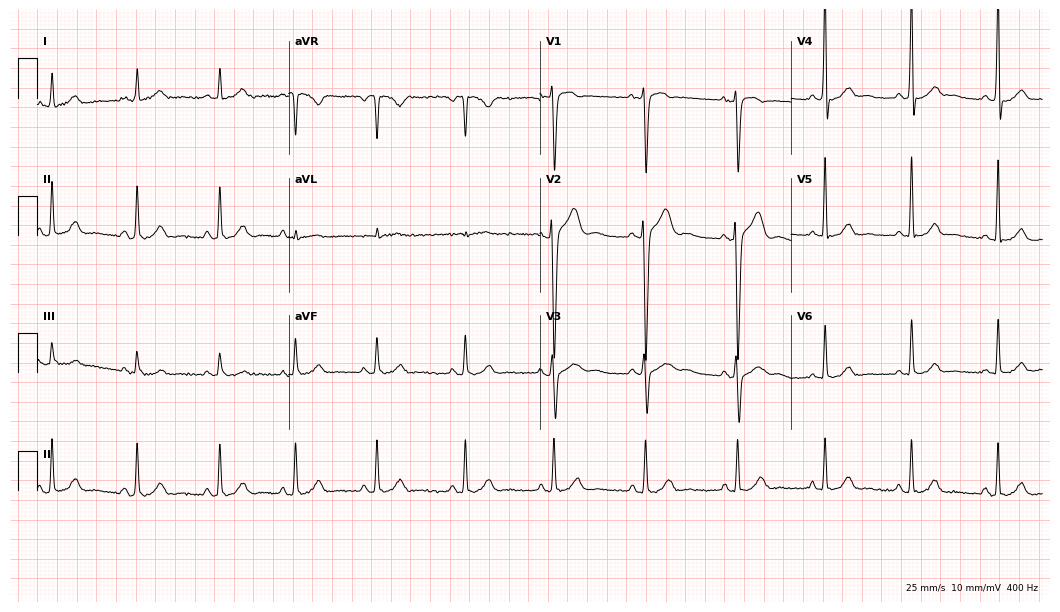
Electrocardiogram, a male patient, 40 years old. Of the six screened findings (first-degree AV block, right bundle branch block, left bundle branch block, sinus bradycardia, atrial fibrillation, sinus tachycardia), none is recorded.